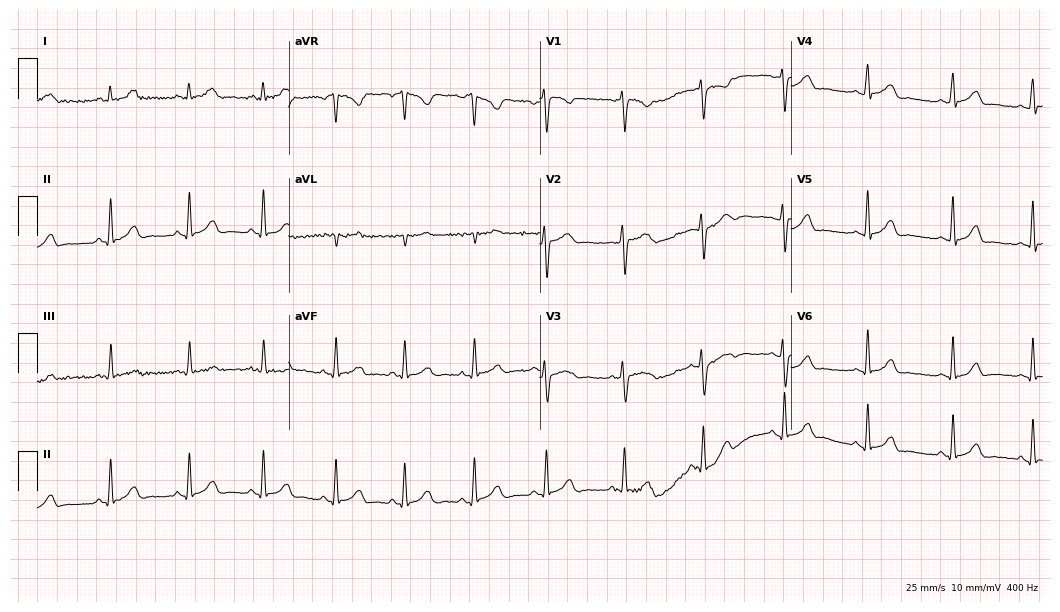
Resting 12-lead electrocardiogram. Patient: a 32-year-old female. Read as a normal ECG.